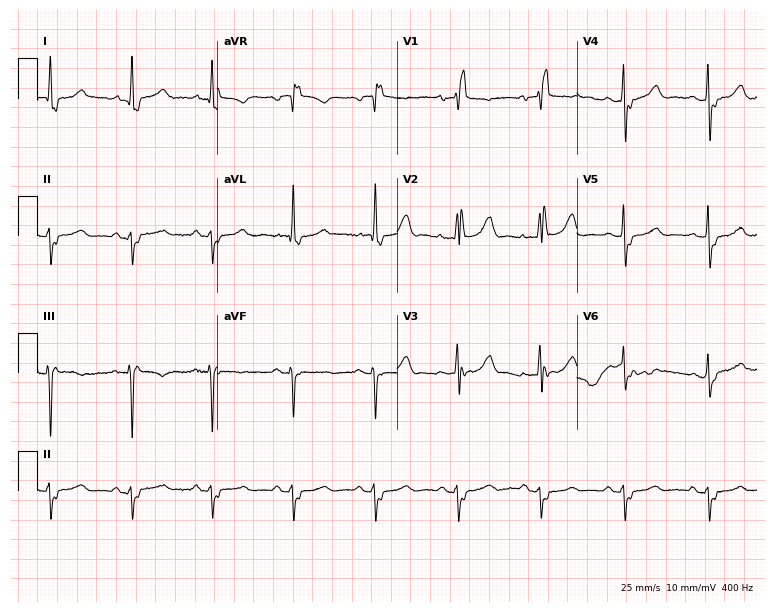
12-lead ECG from a 78-year-old man. Findings include right bundle branch block.